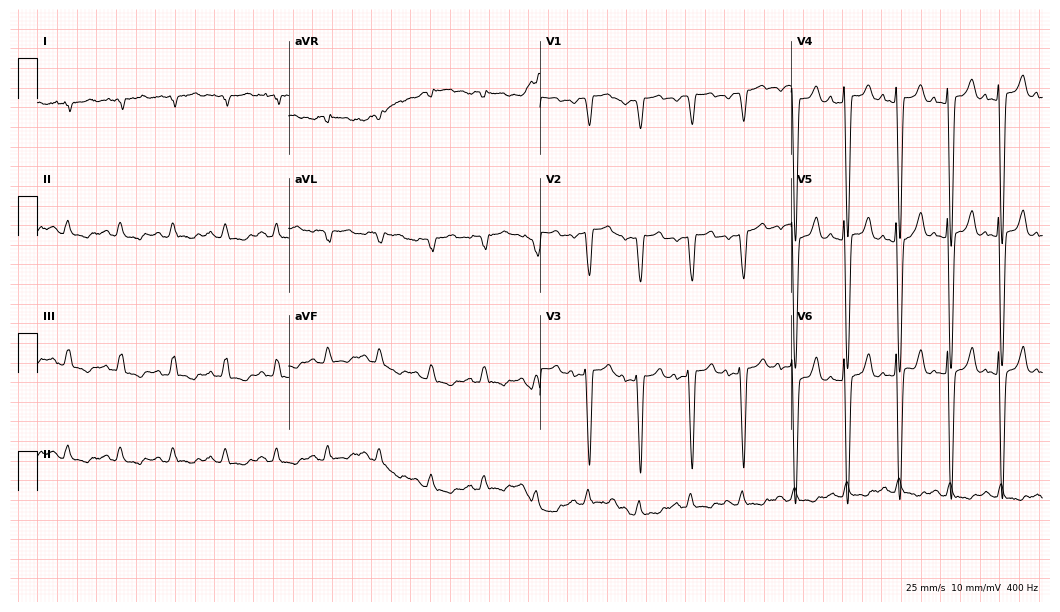
ECG (10.2-second recording at 400 Hz) — a 74-year-old male patient. Screened for six findings — first-degree AV block, right bundle branch block, left bundle branch block, sinus bradycardia, atrial fibrillation, sinus tachycardia — none is recorded.